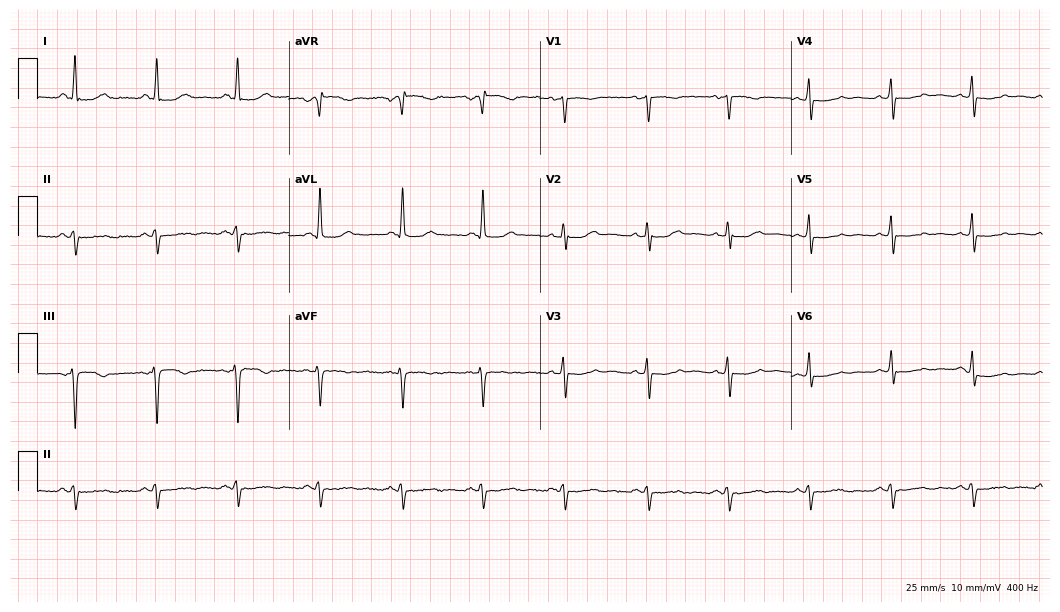
12-lead ECG (10.2-second recording at 400 Hz) from a woman, 45 years old. Screened for six findings — first-degree AV block, right bundle branch block, left bundle branch block, sinus bradycardia, atrial fibrillation, sinus tachycardia — none is recorded. Other findings, if any, are not listed.